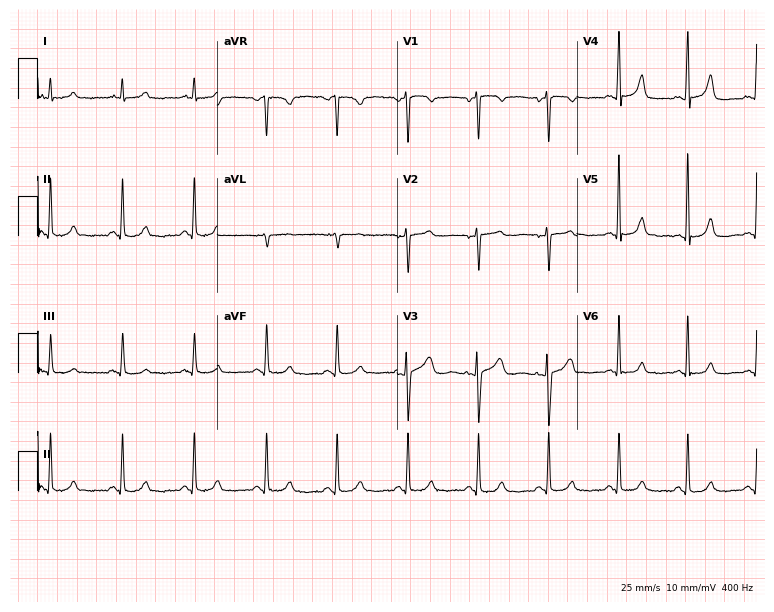
ECG — a 54-year-old female. Screened for six findings — first-degree AV block, right bundle branch block (RBBB), left bundle branch block (LBBB), sinus bradycardia, atrial fibrillation (AF), sinus tachycardia — none is recorded. Findings outside these six are not listed.